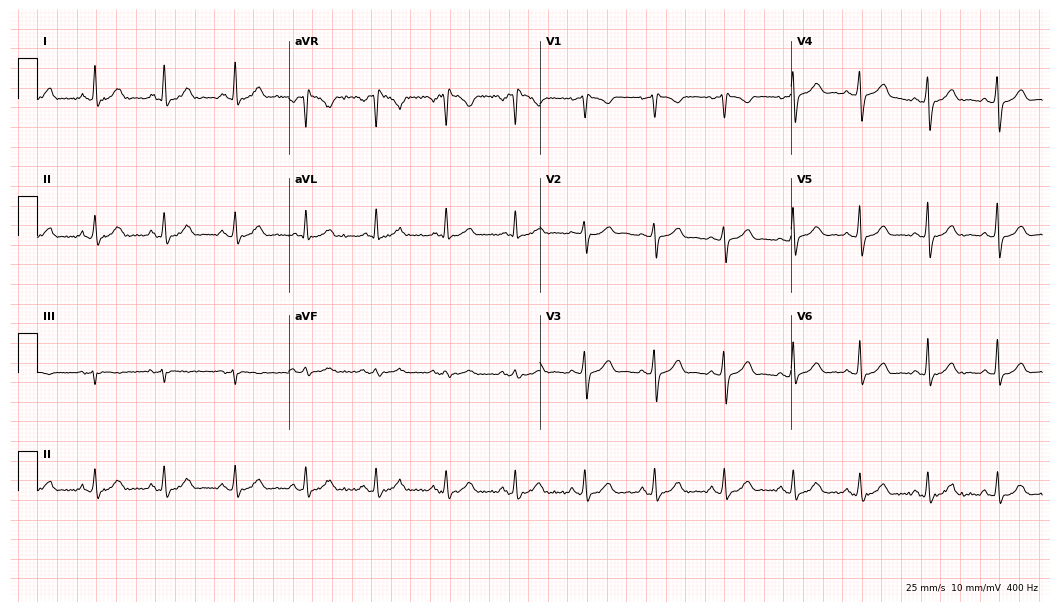
12-lead ECG from a 62-year-old female patient (10.2-second recording at 400 Hz). Recorded interpretation: within normal limits.